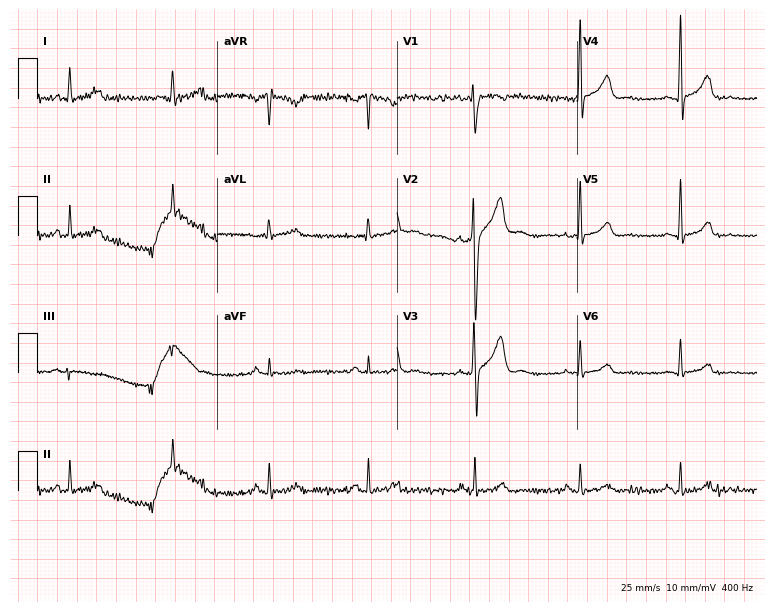
12-lead ECG (7.3-second recording at 400 Hz) from a 30-year-old man. Labelled as a normal ECG.